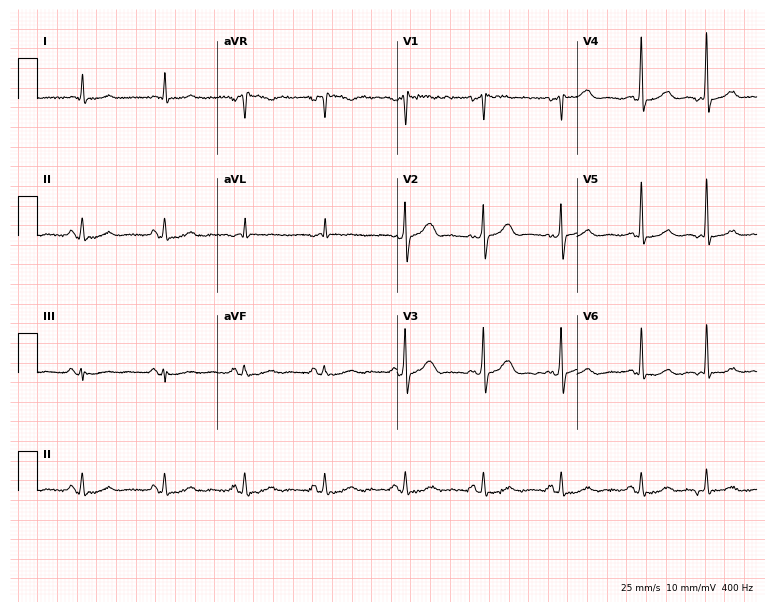
Standard 12-lead ECG recorded from a man, 66 years old (7.3-second recording at 400 Hz). None of these six findings is recorded: first-degree AV block, right bundle branch block, left bundle branch block, sinus bradycardia, atrial fibrillation, sinus tachycardia. Only these six findings were labelled.